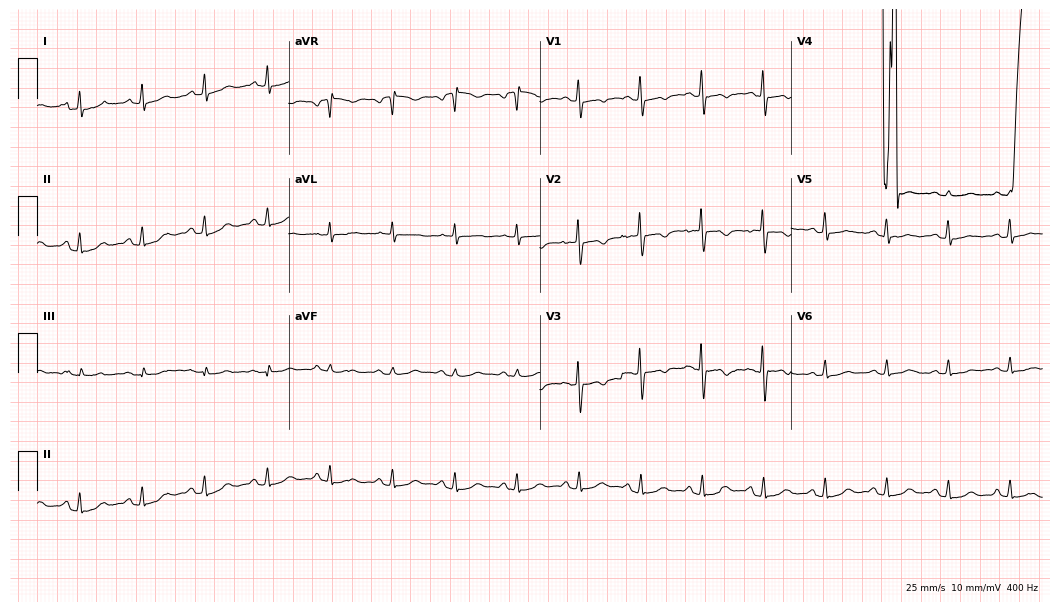
12-lead ECG from a female, 69 years old. Screened for six findings — first-degree AV block, right bundle branch block, left bundle branch block, sinus bradycardia, atrial fibrillation, sinus tachycardia — none is recorded. Other findings, if any, are not listed.